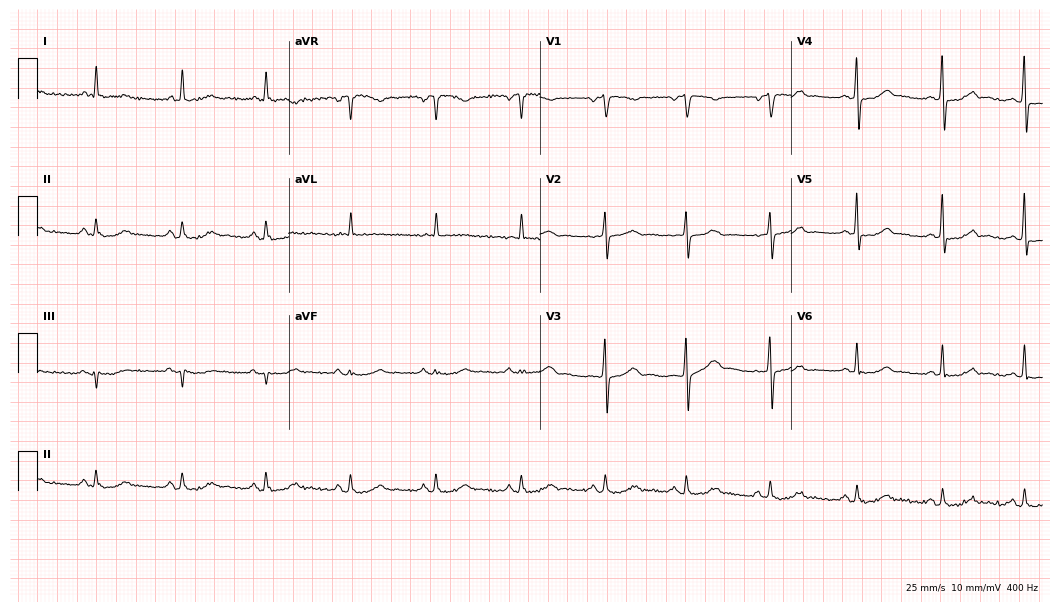
Resting 12-lead electrocardiogram (10.2-second recording at 400 Hz). Patient: a 61-year-old female. None of these six findings is recorded: first-degree AV block, right bundle branch block, left bundle branch block, sinus bradycardia, atrial fibrillation, sinus tachycardia. Only these six findings were labelled.